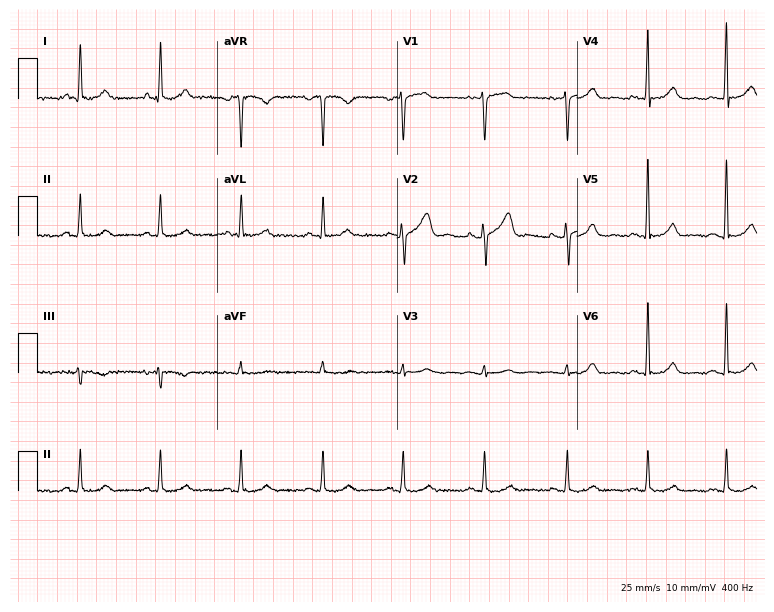
Standard 12-lead ECG recorded from a female, 63 years old. Read as a normal ECG.